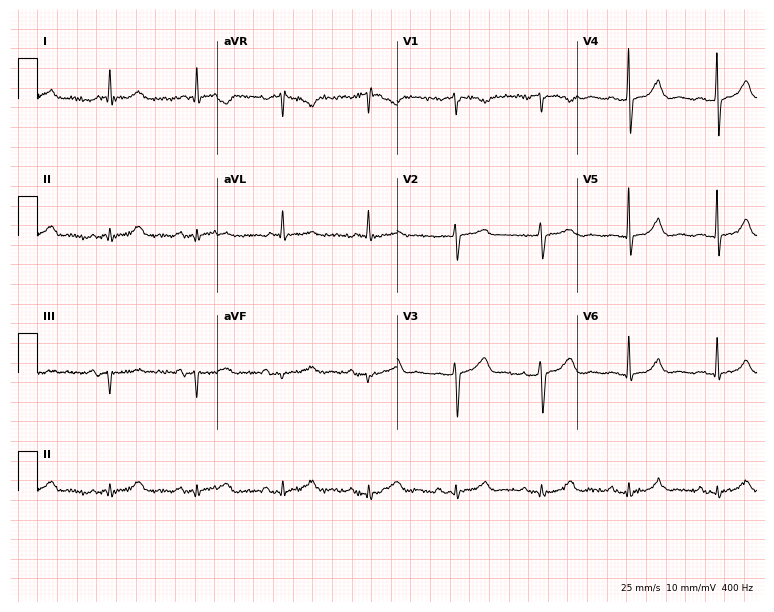
Resting 12-lead electrocardiogram (7.3-second recording at 400 Hz). Patient: a 77-year-old man. Read as a normal ECG.